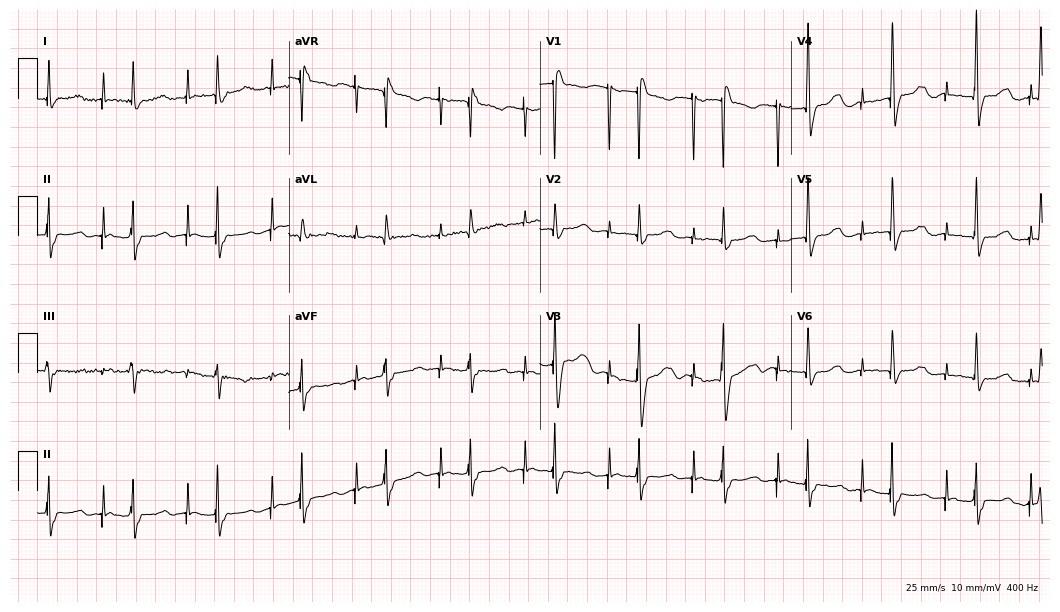
Electrocardiogram (10.2-second recording at 400 Hz), a 71-year-old female patient. Of the six screened findings (first-degree AV block, right bundle branch block, left bundle branch block, sinus bradycardia, atrial fibrillation, sinus tachycardia), none is recorded. Findings outside these six are not listed.